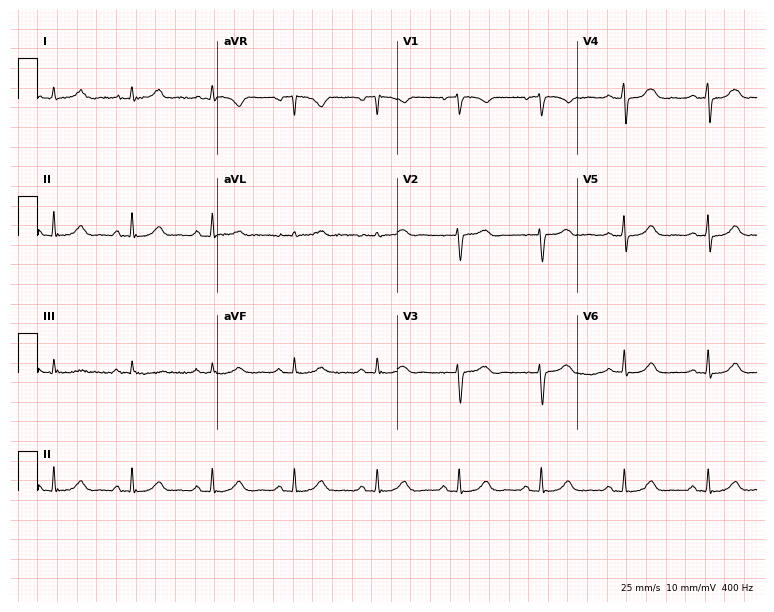
Standard 12-lead ECG recorded from a female patient, 33 years old. Read as a normal ECG.